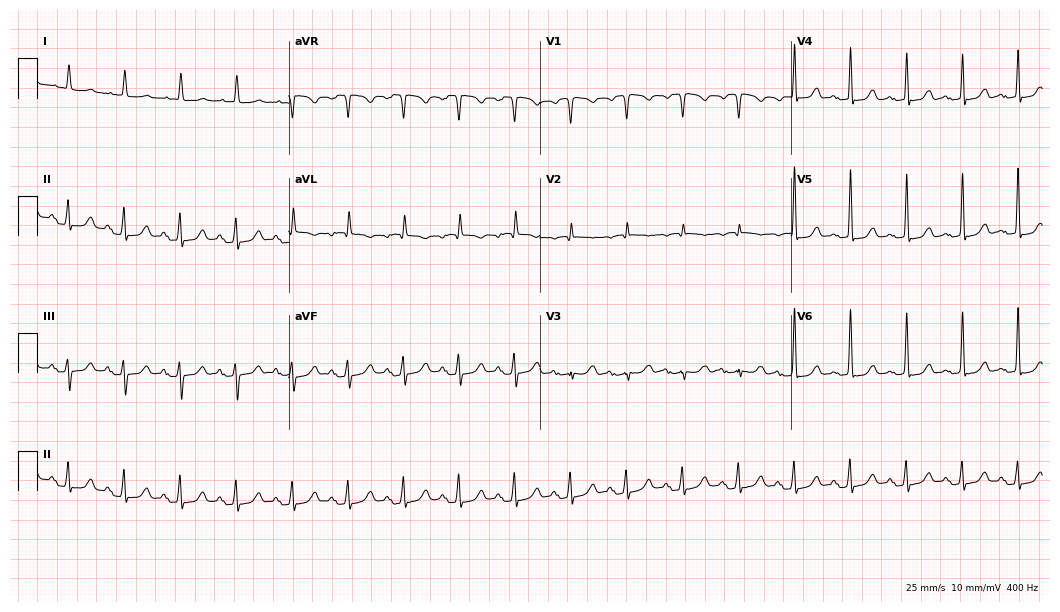
Standard 12-lead ECG recorded from a male patient, 85 years old (10.2-second recording at 400 Hz). Read as a normal ECG.